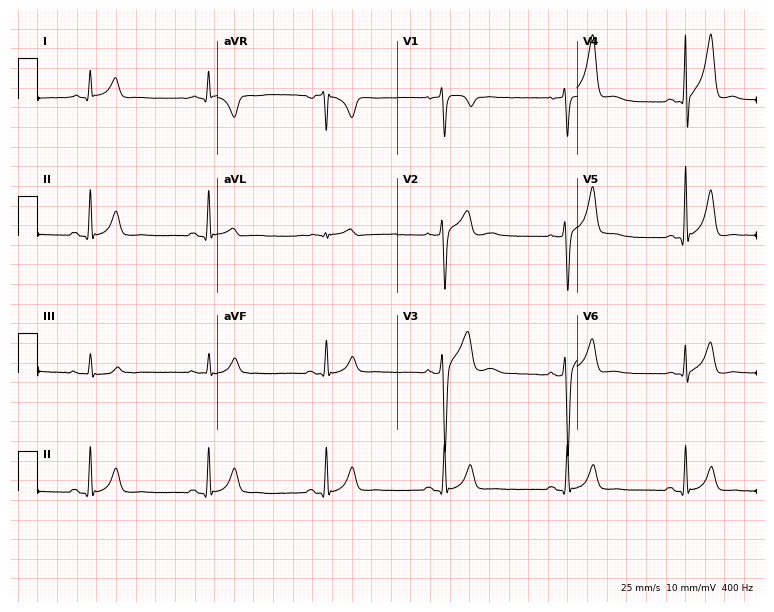
12-lead ECG from a 39-year-old male. No first-degree AV block, right bundle branch block (RBBB), left bundle branch block (LBBB), sinus bradycardia, atrial fibrillation (AF) or sinus tachycardia recorded for this tracing. Other findings, if any, are not listed.